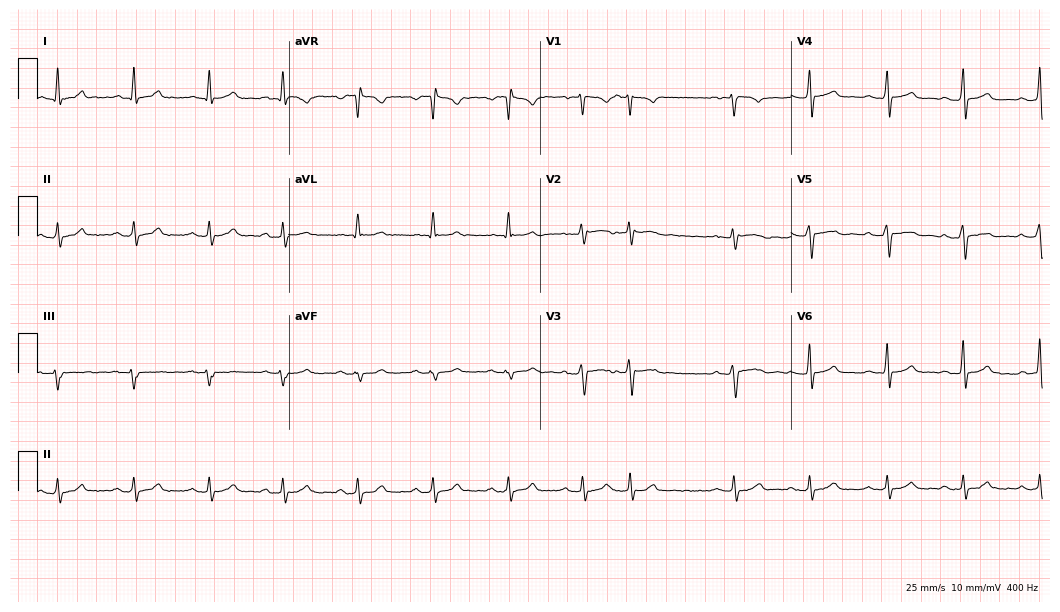
12-lead ECG from a man, 52 years old (10.2-second recording at 400 Hz). Recorded interpretation: within normal limits.